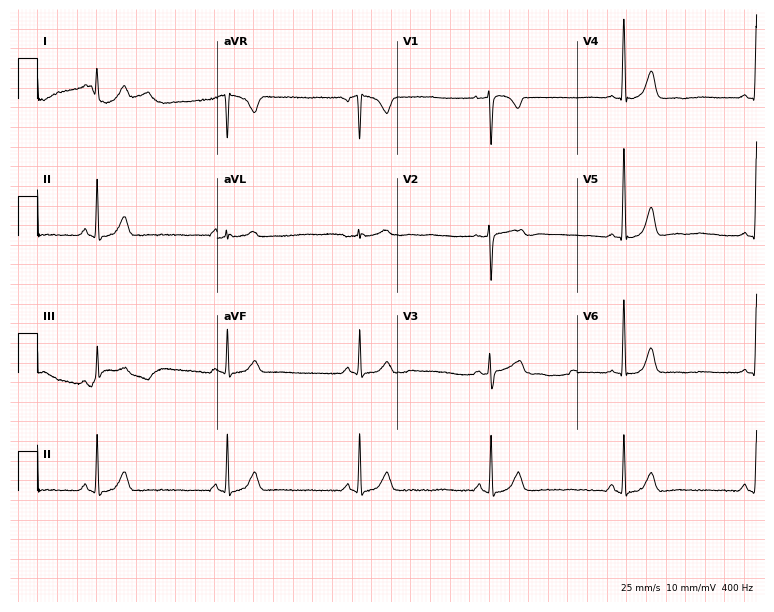
12-lead ECG from a 46-year-old woman. Shows sinus bradycardia (a sinus rate of 50 beats per minute or less).